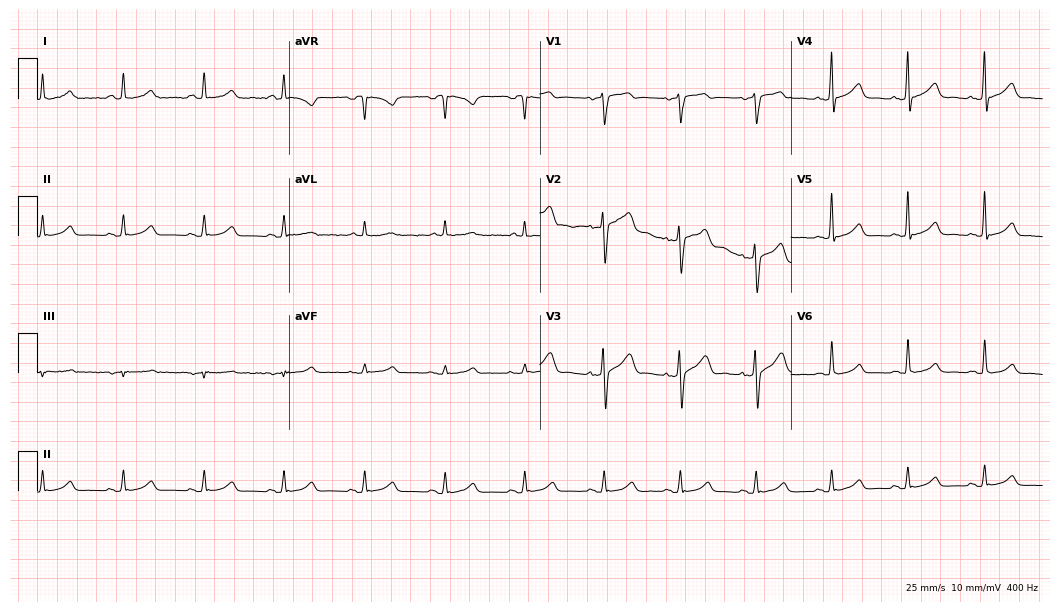
ECG (10.2-second recording at 400 Hz) — a 43-year-old male. Labelled as a normal ECG.